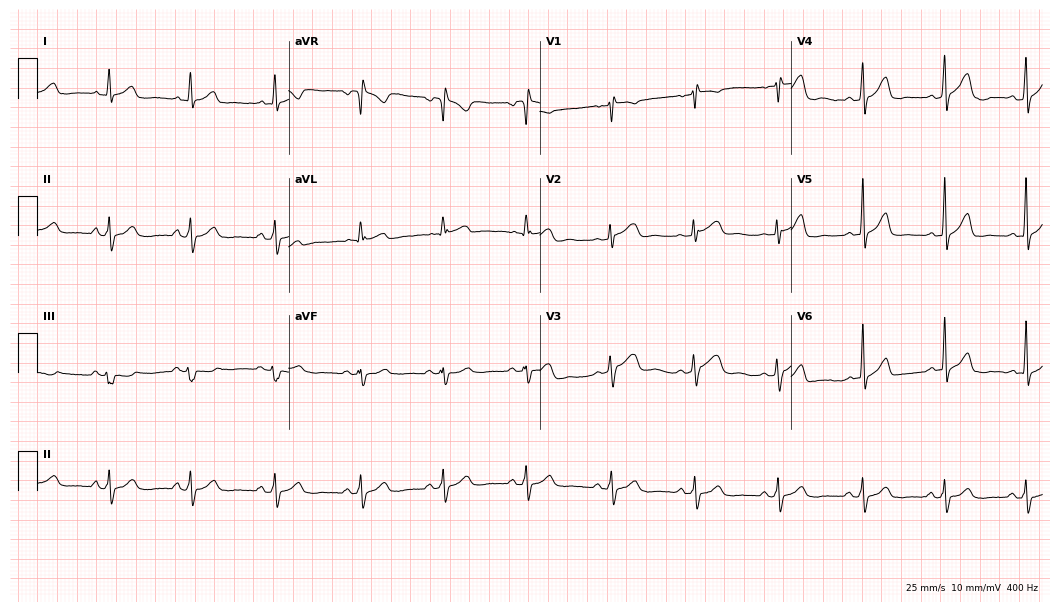
Resting 12-lead electrocardiogram (10.2-second recording at 400 Hz). Patient: a man, 75 years old. None of these six findings is recorded: first-degree AV block, right bundle branch block, left bundle branch block, sinus bradycardia, atrial fibrillation, sinus tachycardia. Other findings, if any, are not listed.